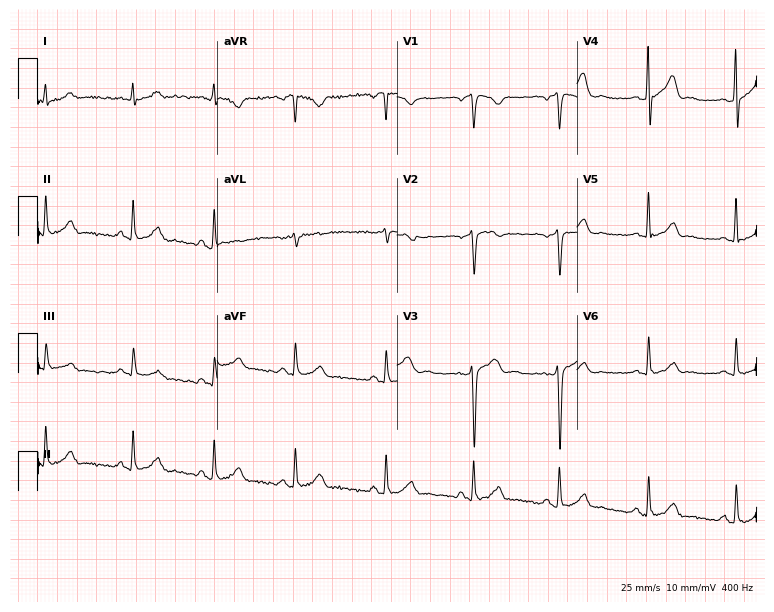
12-lead ECG (7.3-second recording at 400 Hz) from a 31-year-old woman. Screened for six findings — first-degree AV block, right bundle branch block, left bundle branch block, sinus bradycardia, atrial fibrillation, sinus tachycardia — none is recorded. Findings outside these six are not listed.